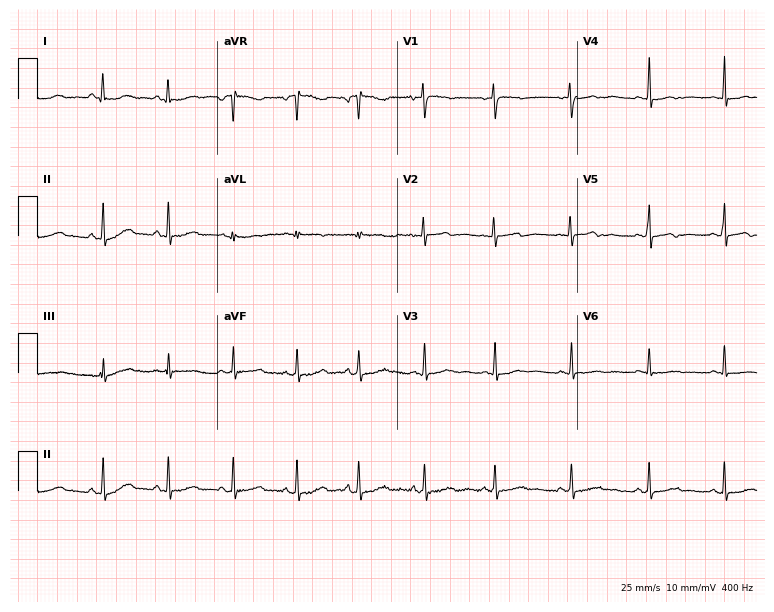
Standard 12-lead ECG recorded from a female, 19 years old (7.3-second recording at 400 Hz). None of these six findings is recorded: first-degree AV block, right bundle branch block (RBBB), left bundle branch block (LBBB), sinus bradycardia, atrial fibrillation (AF), sinus tachycardia.